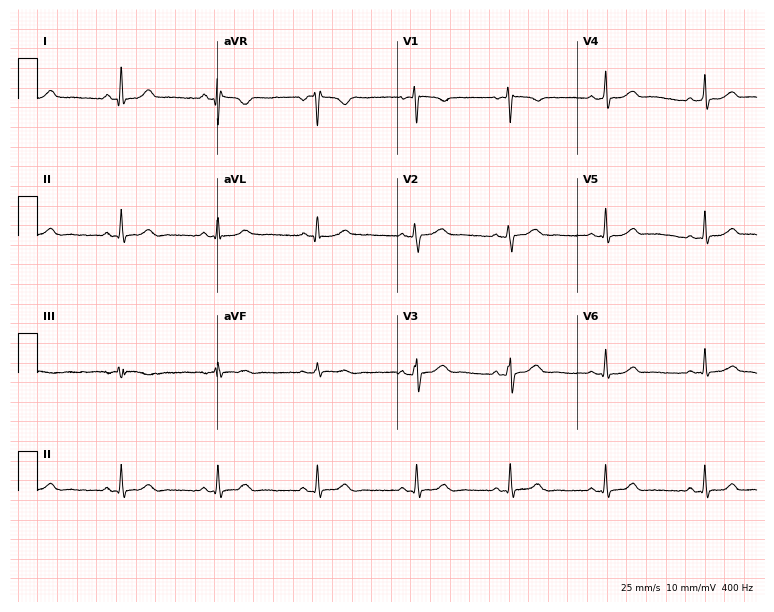
Standard 12-lead ECG recorded from a woman, 39 years old. None of these six findings is recorded: first-degree AV block, right bundle branch block (RBBB), left bundle branch block (LBBB), sinus bradycardia, atrial fibrillation (AF), sinus tachycardia. Other findings, if any, are not listed.